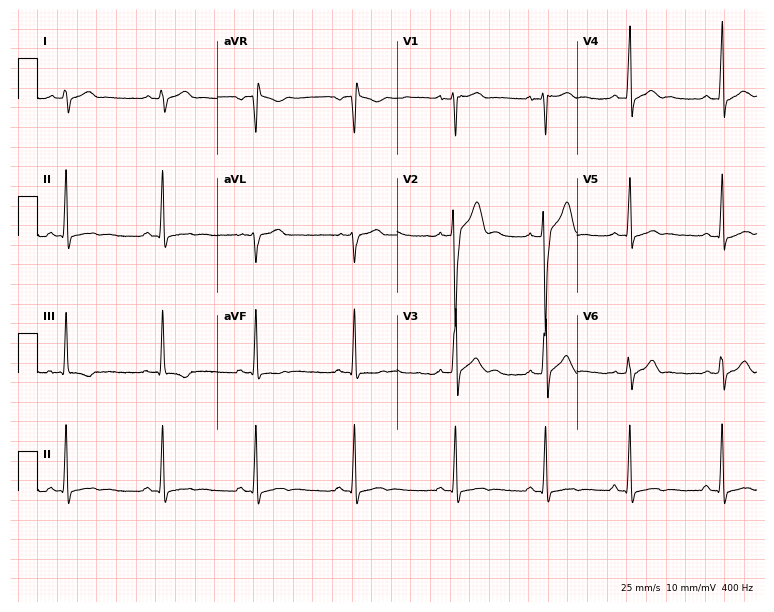
12-lead ECG from a male, 19 years old. Screened for six findings — first-degree AV block, right bundle branch block (RBBB), left bundle branch block (LBBB), sinus bradycardia, atrial fibrillation (AF), sinus tachycardia — none is recorded. Other findings, if any, are not listed.